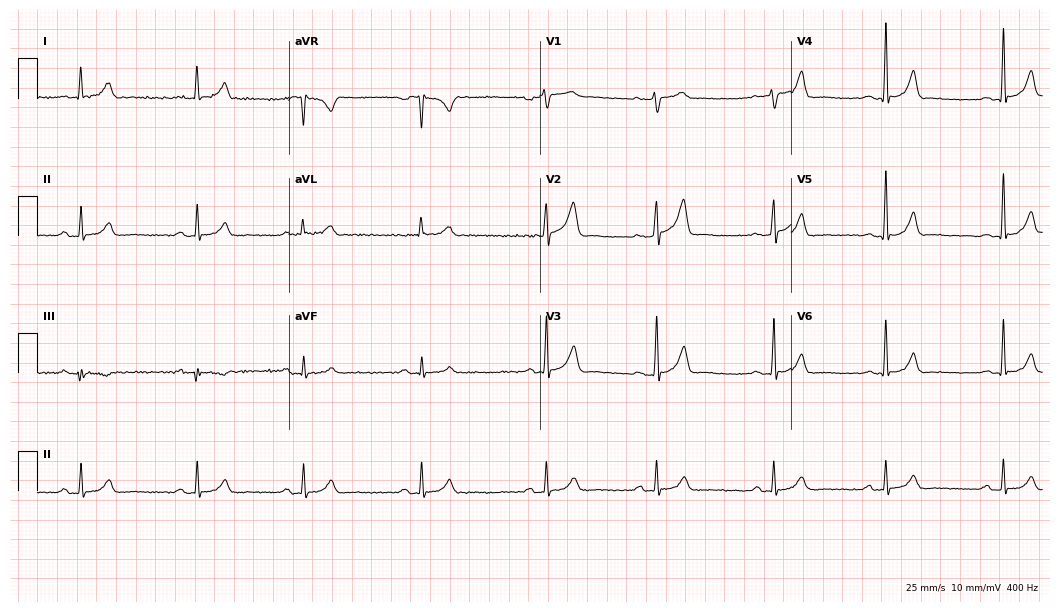
ECG — a 46-year-old male patient. Labelled as a normal ECG.